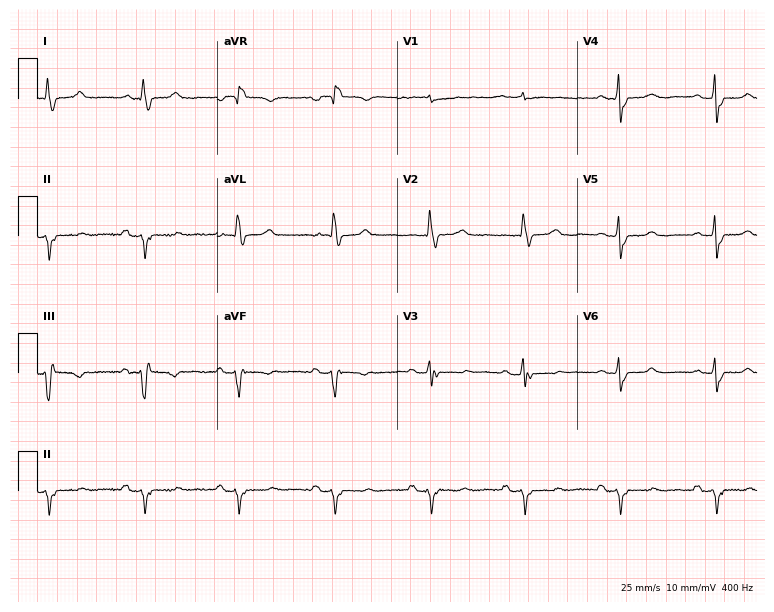
Electrocardiogram, an 81-year-old female patient. Of the six screened findings (first-degree AV block, right bundle branch block, left bundle branch block, sinus bradycardia, atrial fibrillation, sinus tachycardia), none is recorded.